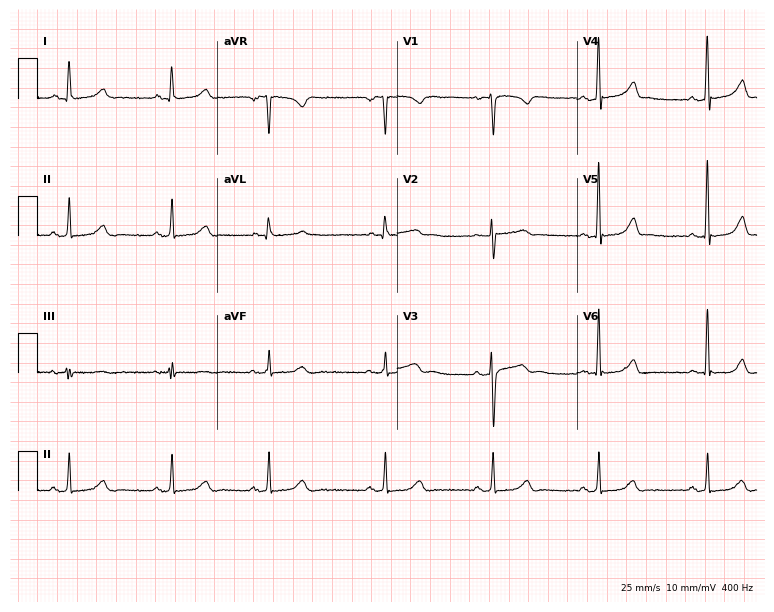
Resting 12-lead electrocardiogram (7.3-second recording at 400 Hz). Patient: a 36-year-old female. Read as a normal ECG.